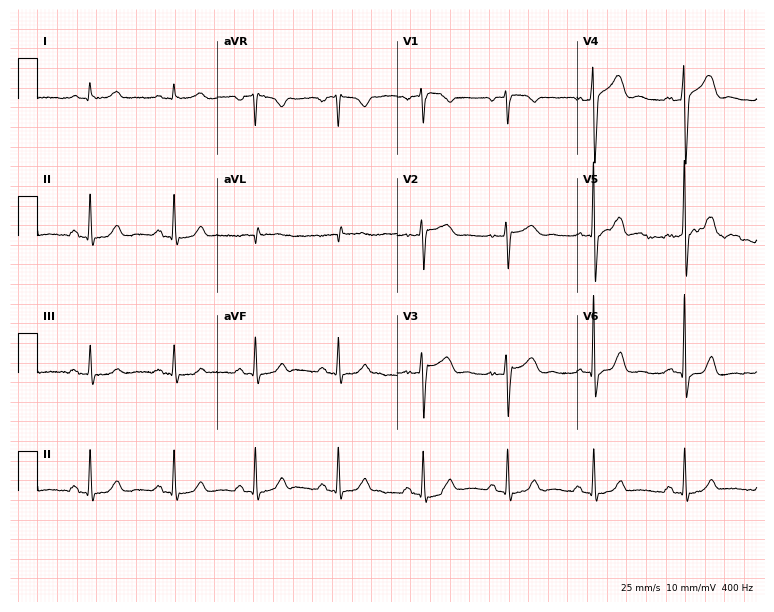
Standard 12-lead ECG recorded from a man, 49 years old. Read as a normal ECG.